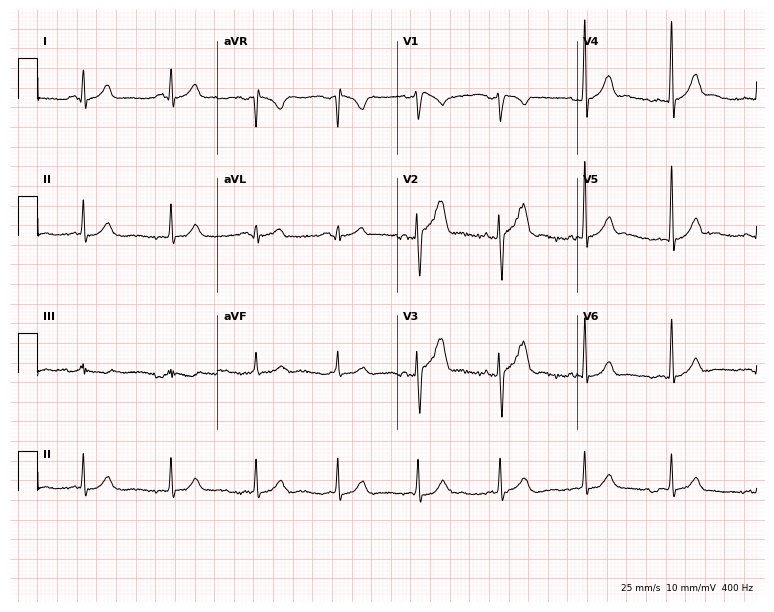
Standard 12-lead ECG recorded from a man, 45 years old (7.3-second recording at 400 Hz). Read as a normal ECG.